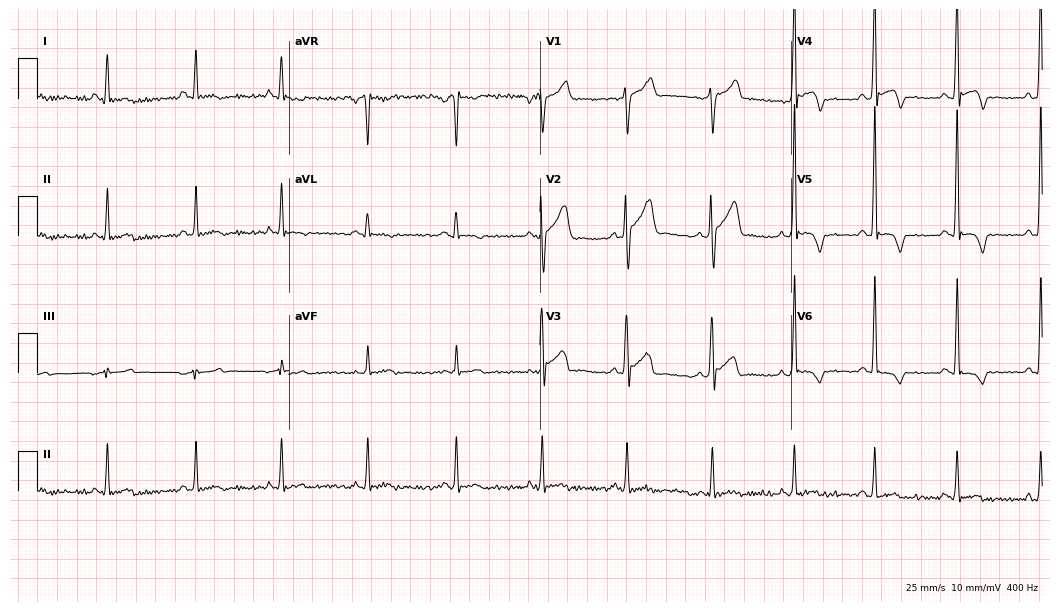
Resting 12-lead electrocardiogram (10.2-second recording at 400 Hz). Patient: a 31-year-old man. None of these six findings is recorded: first-degree AV block, right bundle branch block, left bundle branch block, sinus bradycardia, atrial fibrillation, sinus tachycardia. Other findings, if any, are not listed.